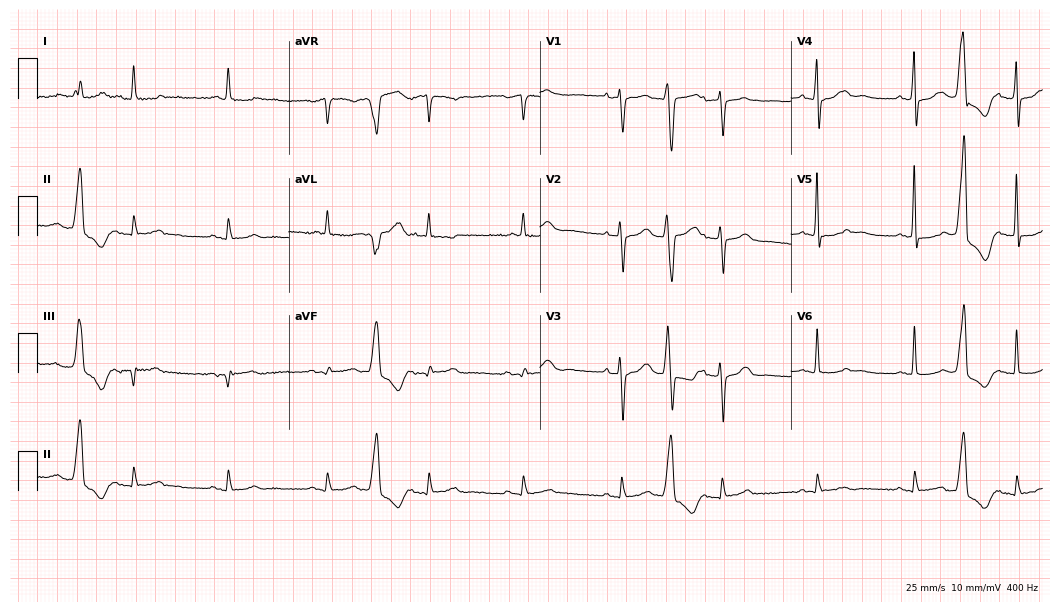
12-lead ECG from a female, 69 years old. Recorded interpretation: within normal limits.